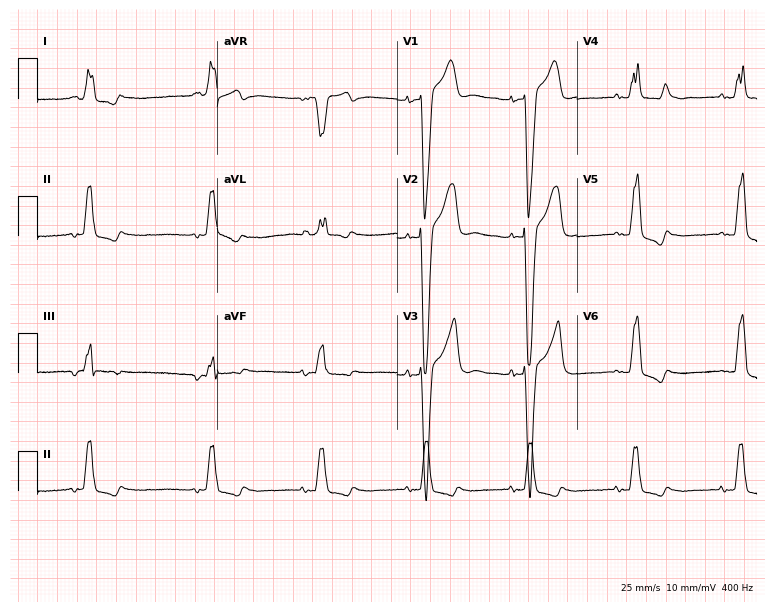
ECG — a male patient, 68 years old. Findings include left bundle branch block.